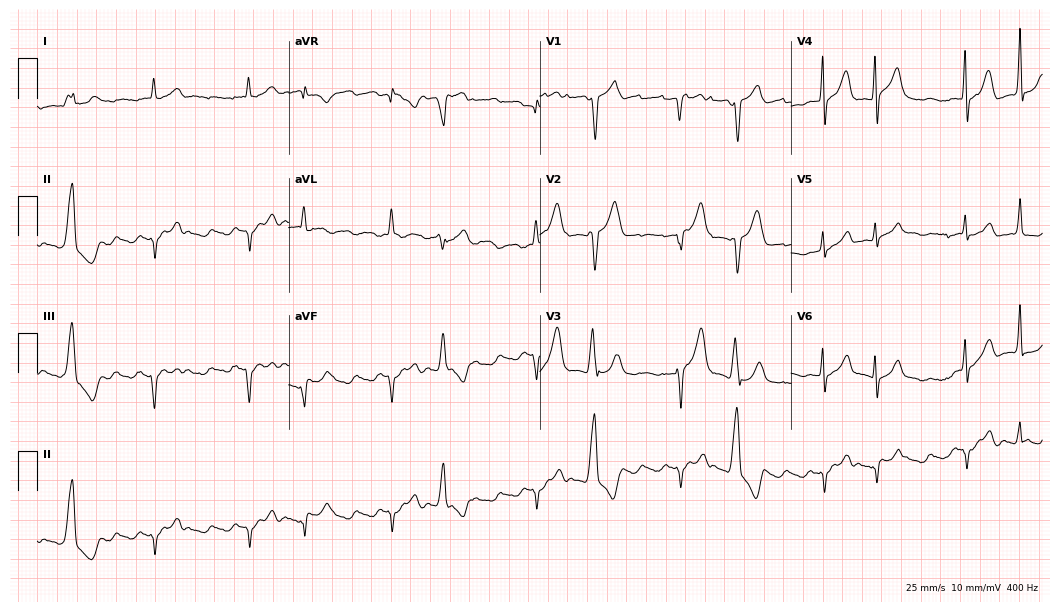
Resting 12-lead electrocardiogram. Patient: a male, 82 years old. None of these six findings is recorded: first-degree AV block, right bundle branch block, left bundle branch block, sinus bradycardia, atrial fibrillation, sinus tachycardia.